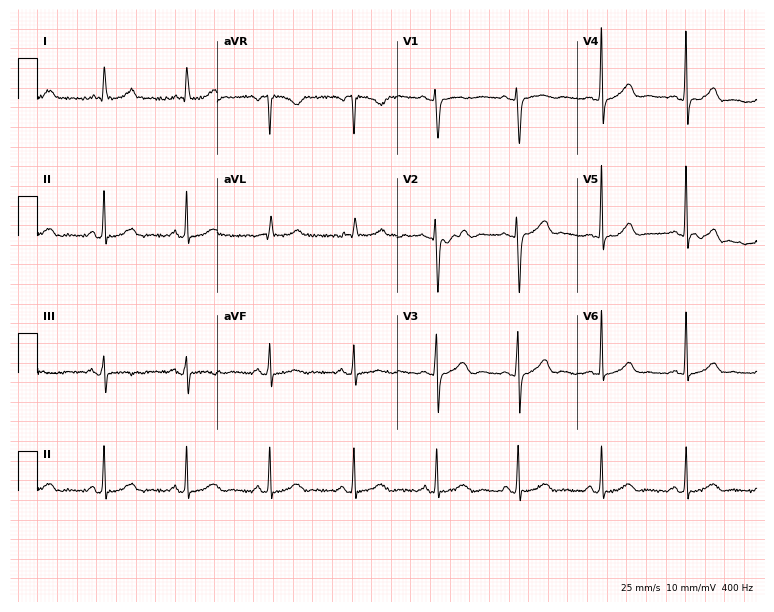
Resting 12-lead electrocardiogram (7.3-second recording at 400 Hz). Patient: a 56-year-old female. None of these six findings is recorded: first-degree AV block, right bundle branch block, left bundle branch block, sinus bradycardia, atrial fibrillation, sinus tachycardia.